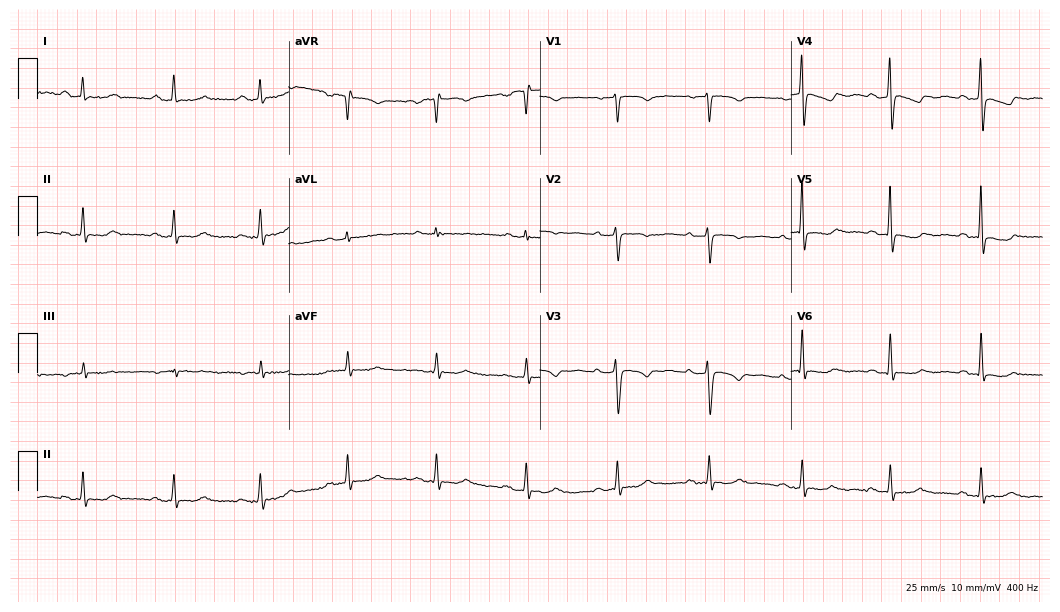
12-lead ECG from a 51-year-old female patient. Screened for six findings — first-degree AV block, right bundle branch block, left bundle branch block, sinus bradycardia, atrial fibrillation, sinus tachycardia — none is recorded. Findings outside these six are not listed.